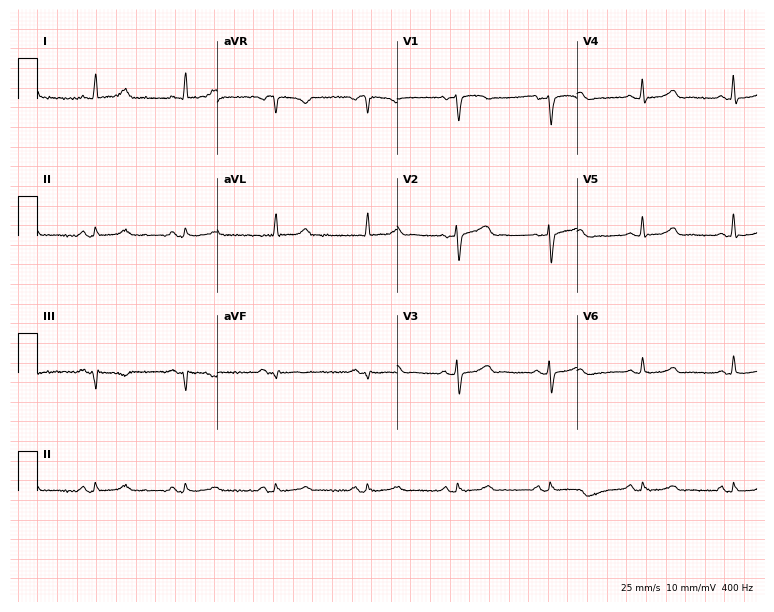
Electrocardiogram (7.3-second recording at 400 Hz), a woman, 79 years old. Overall reading on record: normal ECG.